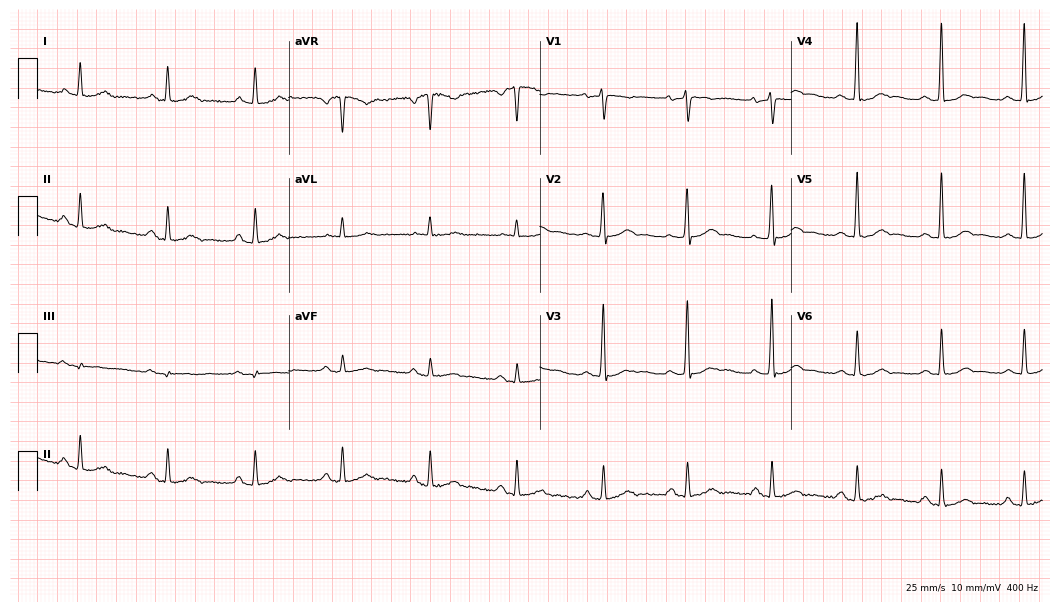
Resting 12-lead electrocardiogram (10.2-second recording at 400 Hz). Patient: a 46-year-old man. None of these six findings is recorded: first-degree AV block, right bundle branch block, left bundle branch block, sinus bradycardia, atrial fibrillation, sinus tachycardia. Only these six findings were labelled.